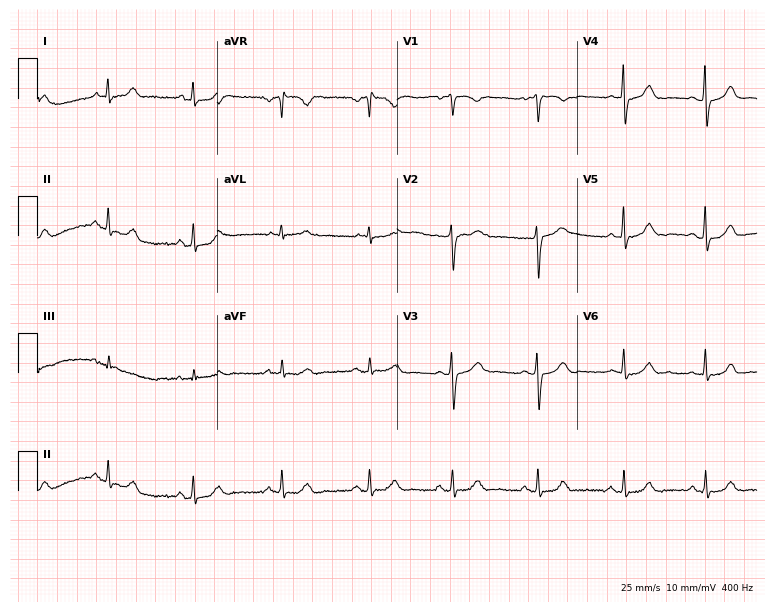
ECG — a 42-year-old female patient. Screened for six findings — first-degree AV block, right bundle branch block, left bundle branch block, sinus bradycardia, atrial fibrillation, sinus tachycardia — none is recorded. Findings outside these six are not listed.